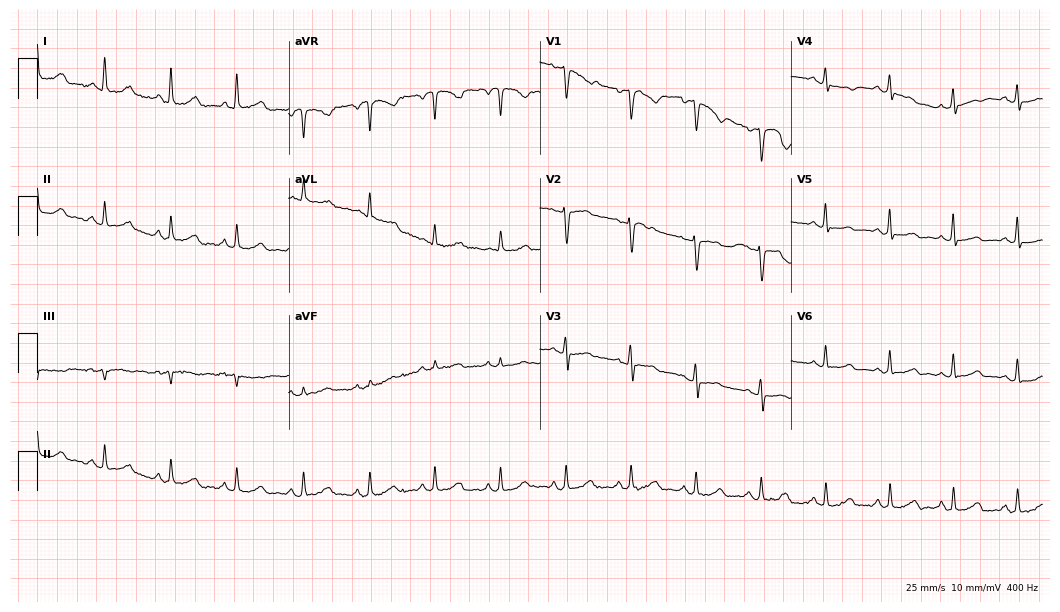
Electrocardiogram (10.2-second recording at 400 Hz), a 56-year-old female patient. Overall reading on record: normal ECG.